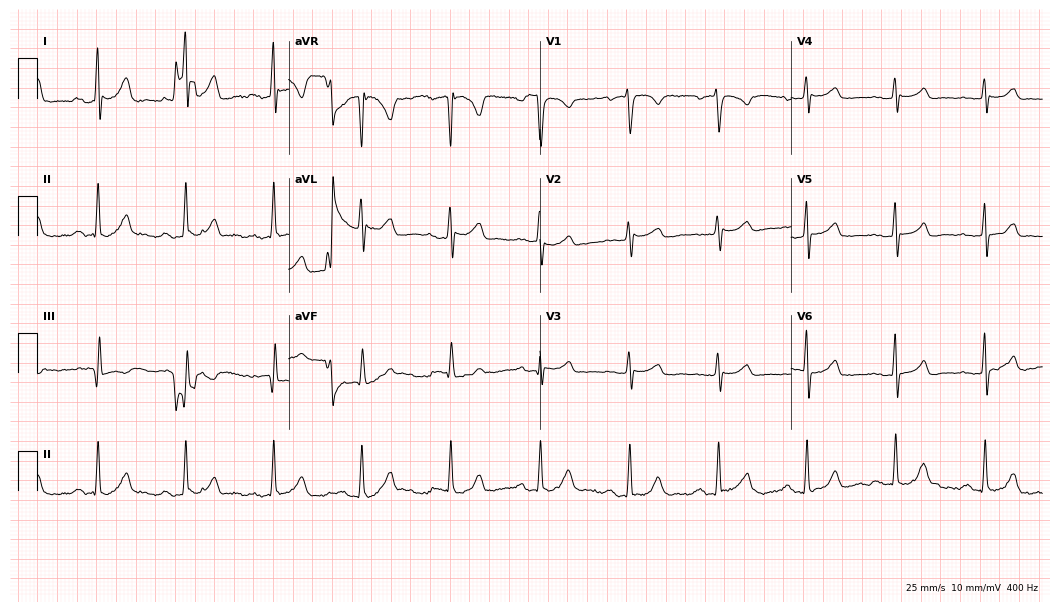
12-lead ECG from a woman, 70 years old. Screened for six findings — first-degree AV block, right bundle branch block, left bundle branch block, sinus bradycardia, atrial fibrillation, sinus tachycardia — none is recorded. Findings outside these six are not listed.